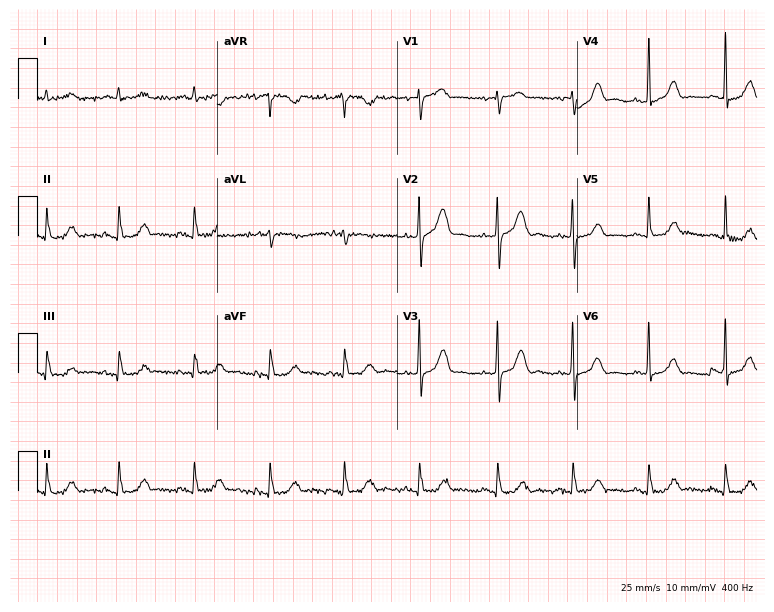
12-lead ECG from a female patient, 84 years old. Recorded interpretation: within normal limits.